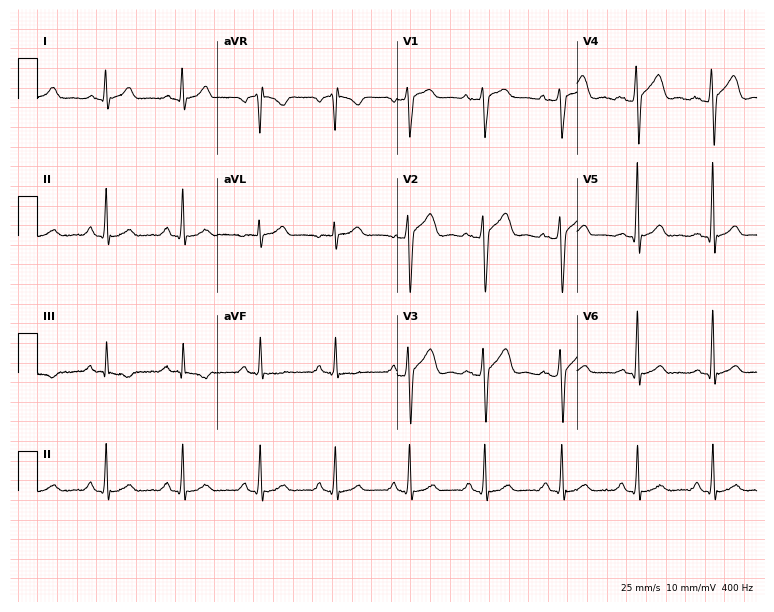
12-lead ECG (7.3-second recording at 400 Hz) from a man, 29 years old. Screened for six findings — first-degree AV block, right bundle branch block, left bundle branch block, sinus bradycardia, atrial fibrillation, sinus tachycardia — none is recorded.